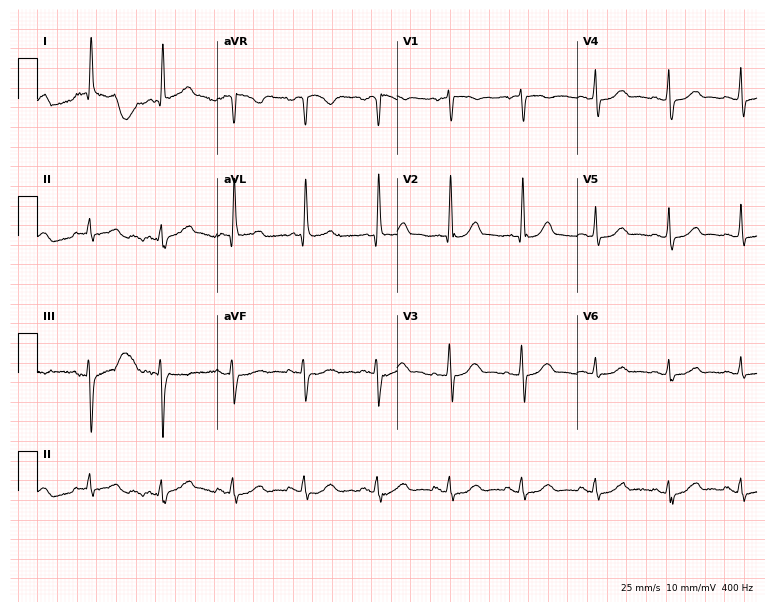
Resting 12-lead electrocardiogram. Patient: a 70-year-old woman. Read as a normal ECG.